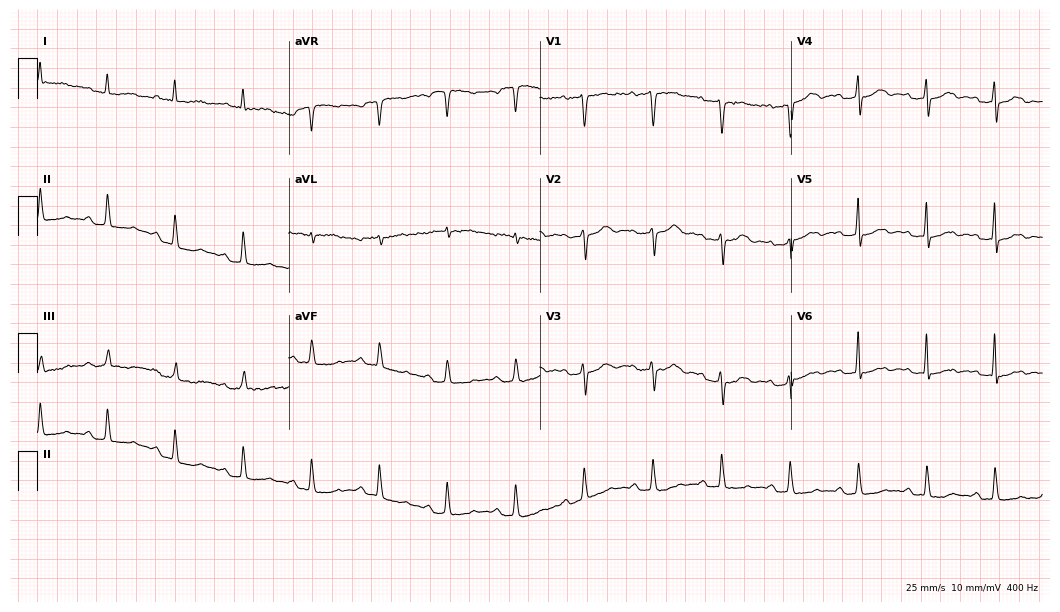
12-lead ECG from a 66-year-old woman. No first-degree AV block, right bundle branch block (RBBB), left bundle branch block (LBBB), sinus bradycardia, atrial fibrillation (AF) or sinus tachycardia recorded for this tracing. Findings outside these six are not listed.